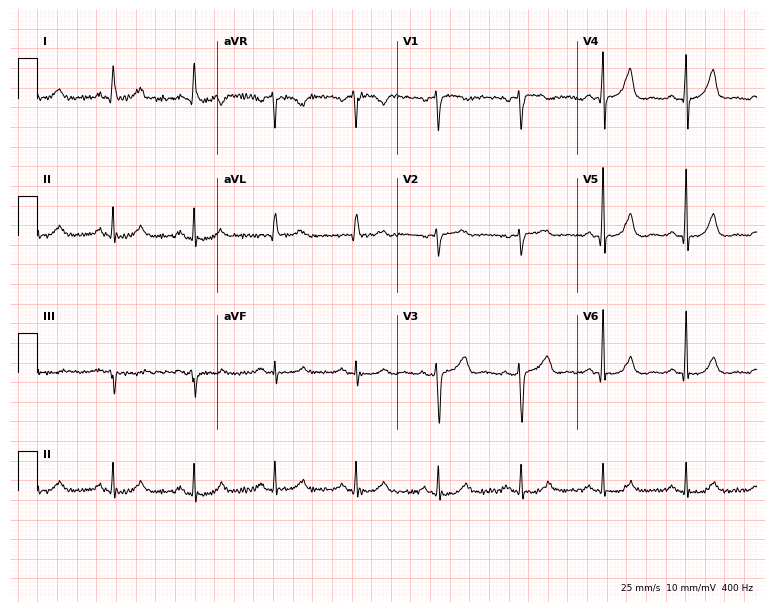
12-lead ECG (7.3-second recording at 400 Hz) from a 62-year-old female. Labelled as a normal ECG.